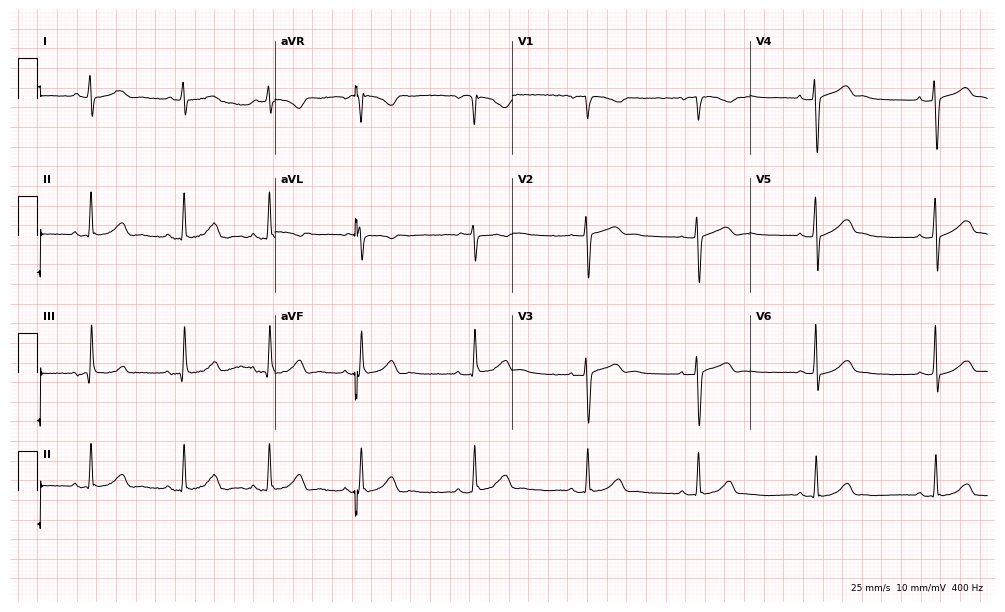
Electrocardiogram (9.7-second recording at 400 Hz), a 43-year-old female patient. Of the six screened findings (first-degree AV block, right bundle branch block (RBBB), left bundle branch block (LBBB), sinus bradycardia, atrial fibrillation (AF), sinus tachycardia), none is recorded.